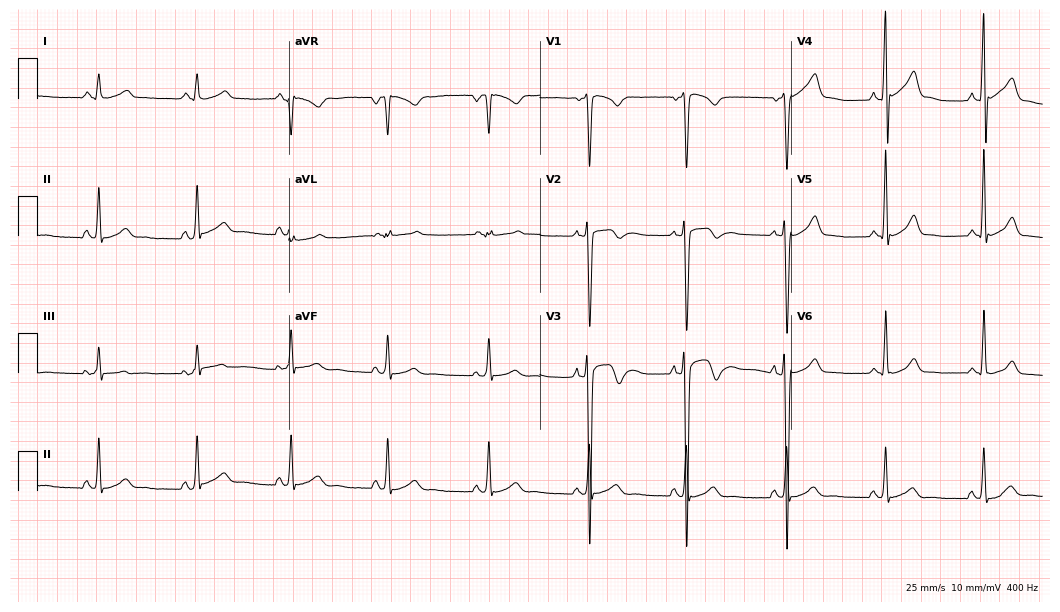
Electrocardiogram, a 23-year-old male patient. Of the six screened findings (first-degree AV block, right bundle branch block, left bundle branch block, sinus bradycardia, atrial fibrillation, sinus tachycardia), none is recorded. Only these six findings were labelled.